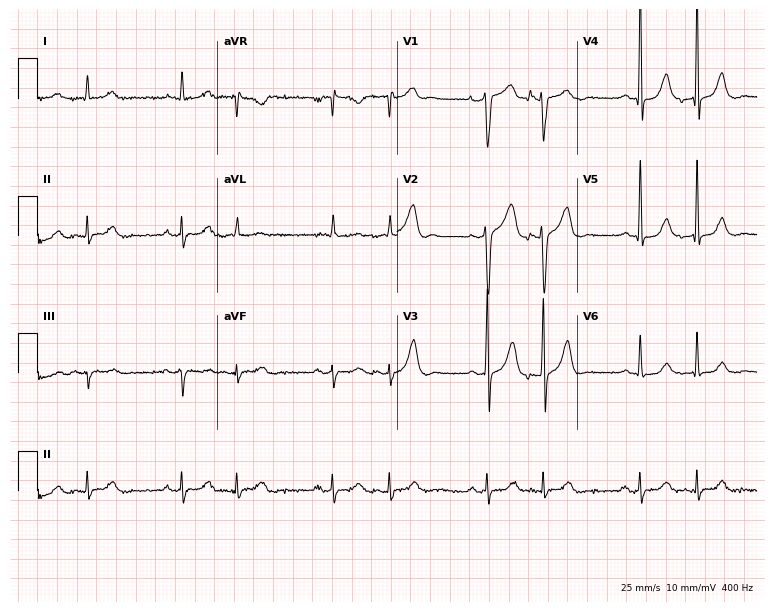
12-lead ECG (7.3-second recording at 400 Hz) from a male patient, 68 years old. Screened for six findings — first-degree AV block, right bundle branch block, left bundle branch block, sinus bradycardia, atrial fibrillation, sinus tachycardia — none is recorded.